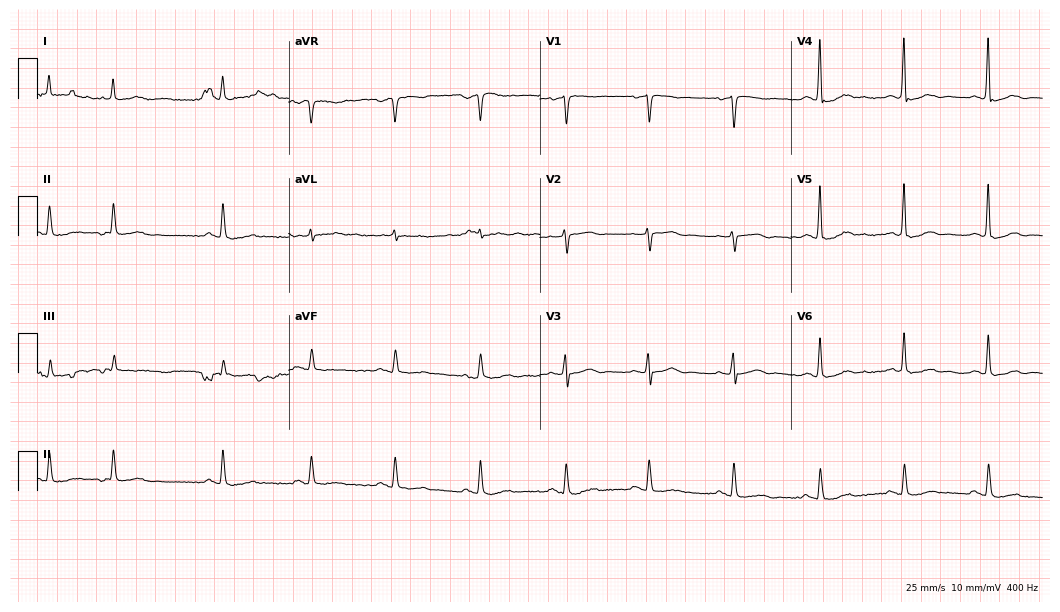
ECG — a male patient, 81 years old. Screened for six findings — first-degree AV block, right bundle branch block (RBBB), left bundle branch block (LBBB), sinus bradycardia, atrial fibrillation (AF), sinus tachycardia — none is recorded. Other findings, if any, are not listed.